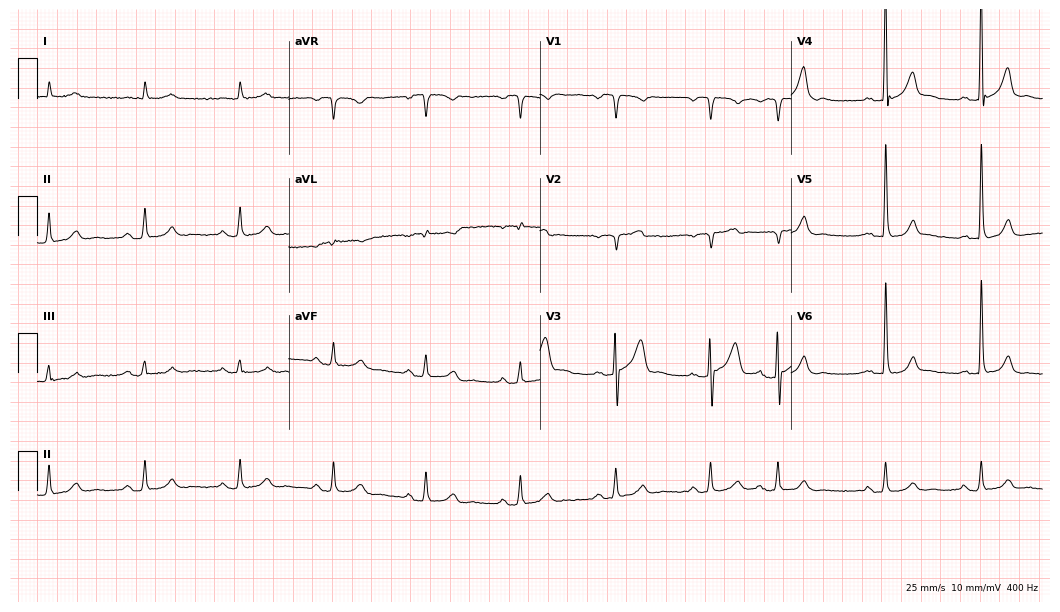
Standard 12-lead ECG recorded from a male, 60 years old (10.2-second recording at 400 Hz). None of these six findings is recorded: first-degree AV block, right bundle branch block (RBBB), left bundle branch block (LBBB), sinus bradycardia, atrial fibrillation (AF), sinus tachycardia. Only these six findings were labelled.